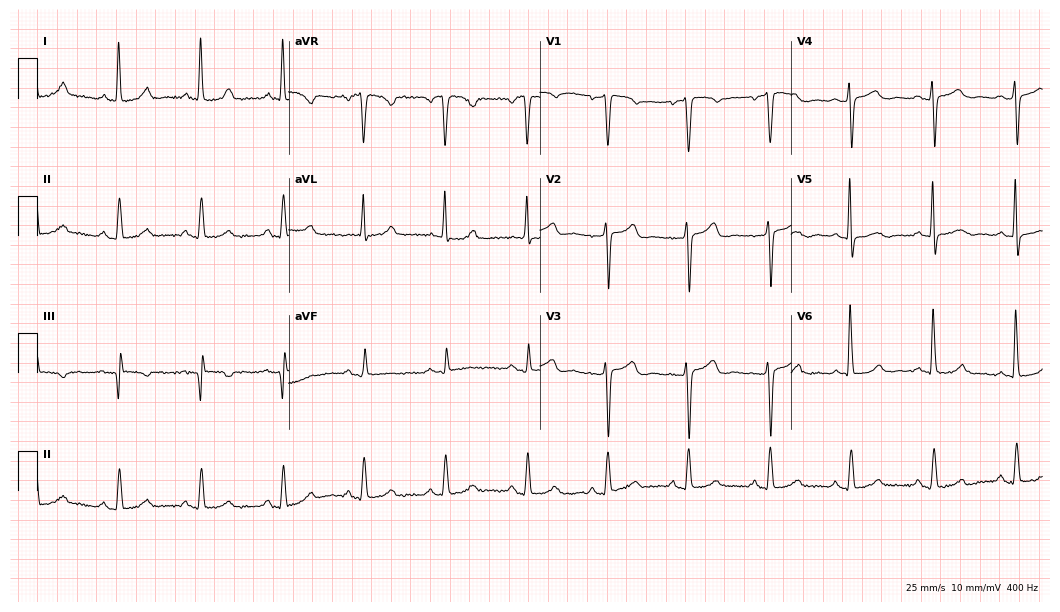
Electrocardiogram (10.2-second recording at 400 Hz), a female, 67 years old. Overall reading on record: normal ECG.